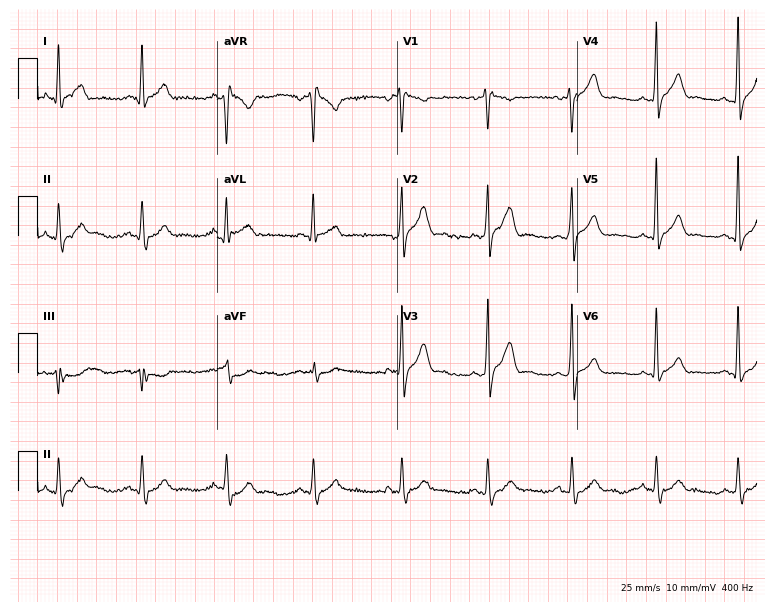
Resting 12-lead electrocardiogram. Patient: a man, 29 years old. None of these six findings is recorded: first-degree AV block, right bundle branch block, left bundle branch block, sinus bradycardia, atrial fibrillation, sinus tachycardia. Only these six findings were labelled.